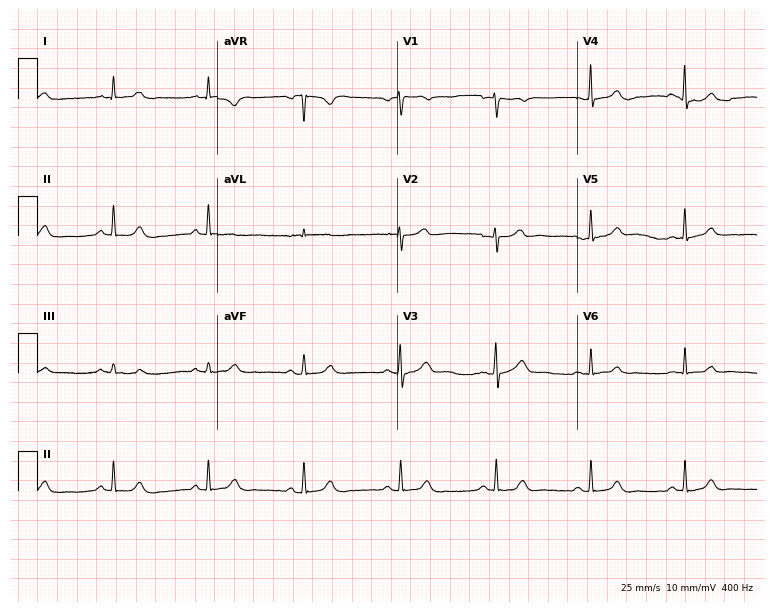
Standard 12-lead ECG recorded from a 52-year-old female (7.3-second recording at 400 Hz). Read as a normal ECG.